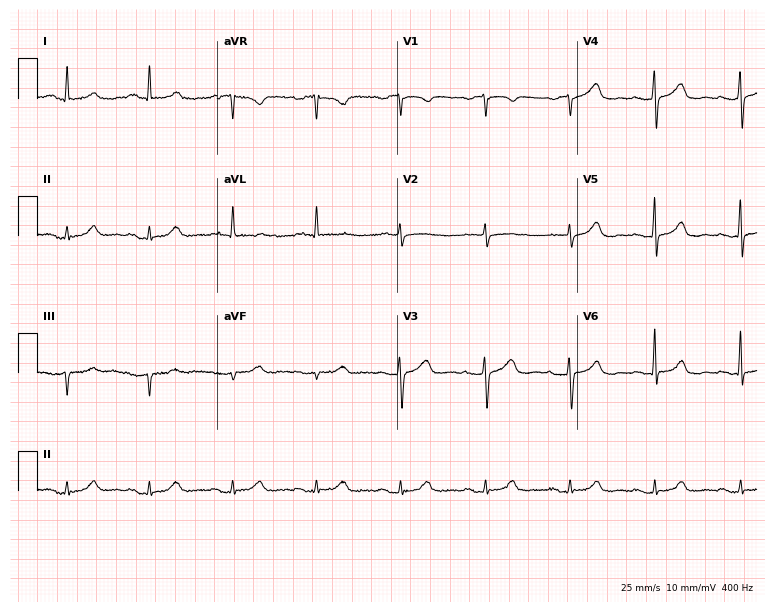
Electrocardiogram (7.3-second recording at 400 Hz), a male patient, 73 years old. Overall reading on record: normal ECG.